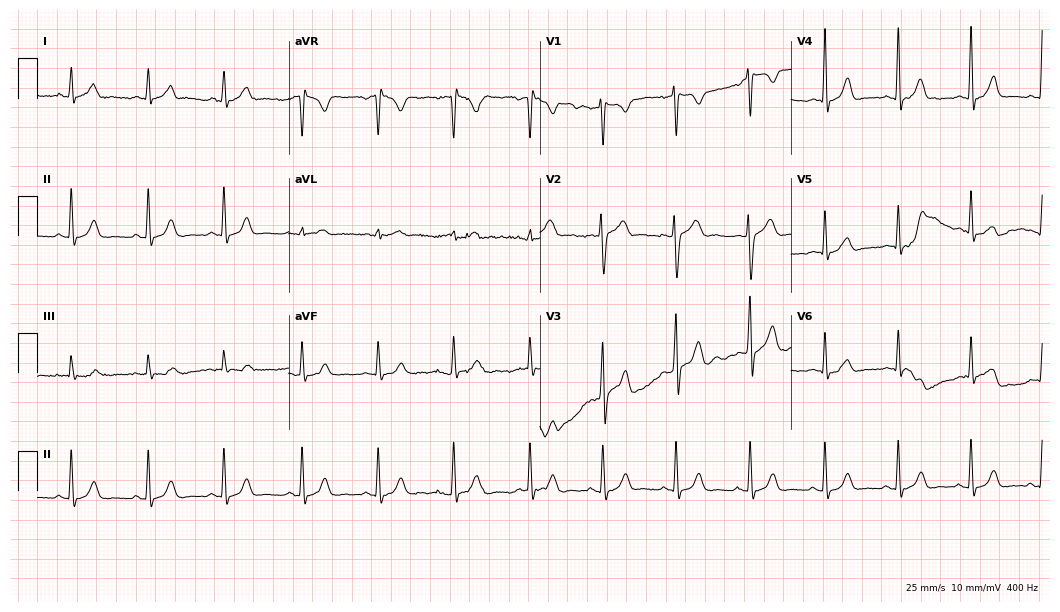
12-lead ECG from a 34-year-old male patient. No first-degree AV block, right bundle branch block (RBBB), left bundle branch block (LBBB), sinus bradycardia, atrial fibrillation (AF) or sinus tachycardia recorded for this tracing. Only these six findings were labelled.